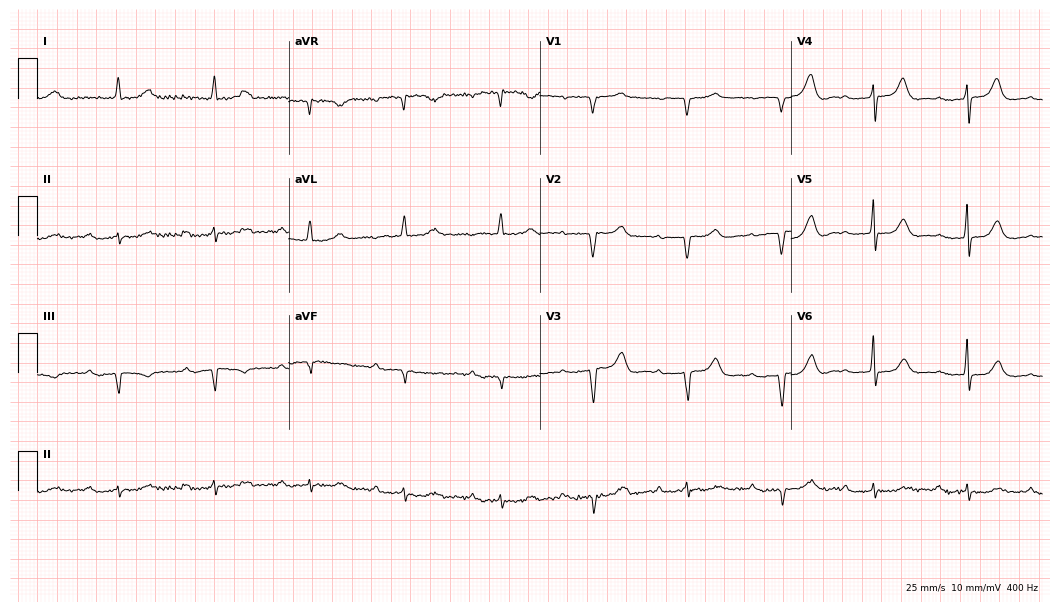
12-lead ECG from a female, 81 years old (10.2-second recording at 400 Hz). Shows first-degree AV block.